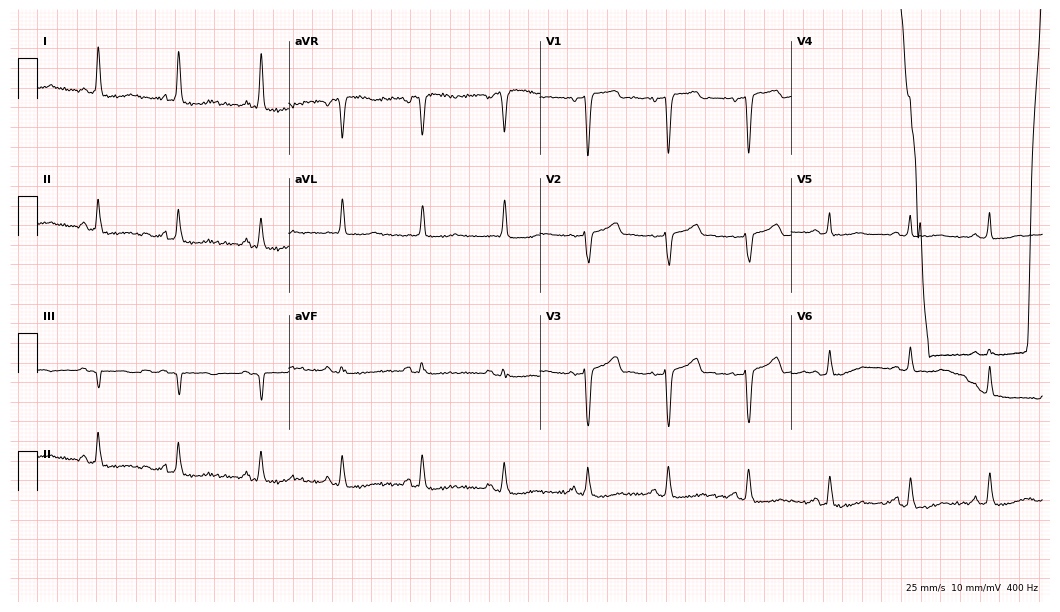
12-lead ECG (10.2-second recording at 400 Hz) from a 48-year-old female patient. Screened for six findings — first-degree AV block, right bundle branch block, left bundle branch block, sinus bradycardia, atrial fibrillation, sinus tachycardia — none is recorded.